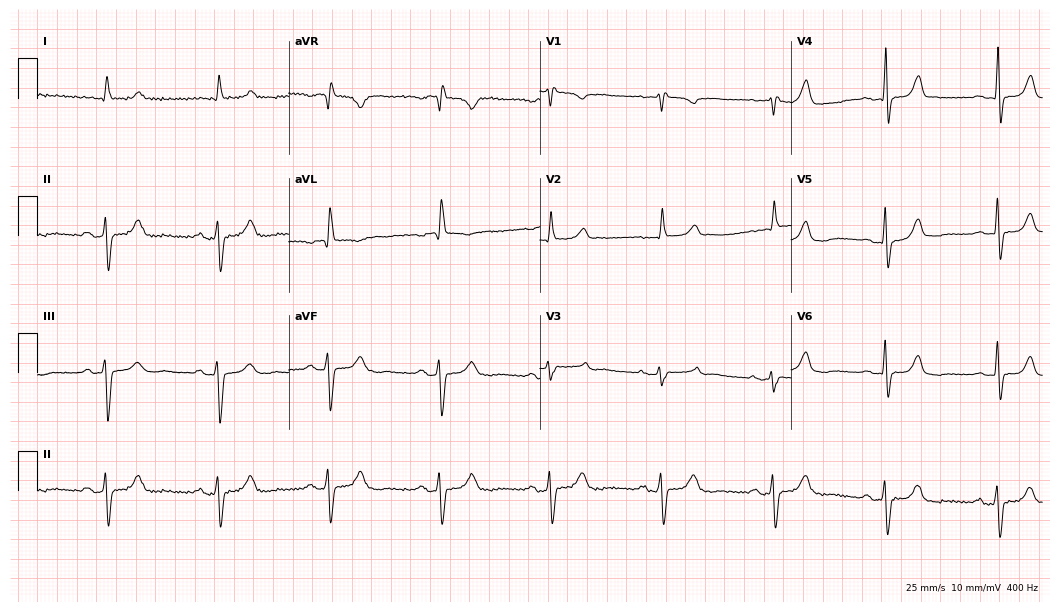
Standard 12-lead ECG recorded from a woman, 81 years old. The tracing shows right bundle branch block.